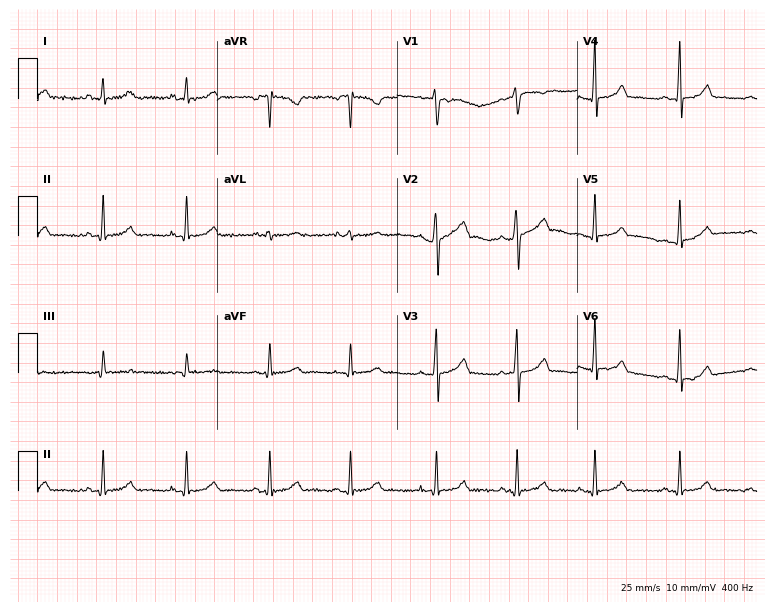
12-lead ECG from a female, 30 years old. Labelled as a normal ECG.